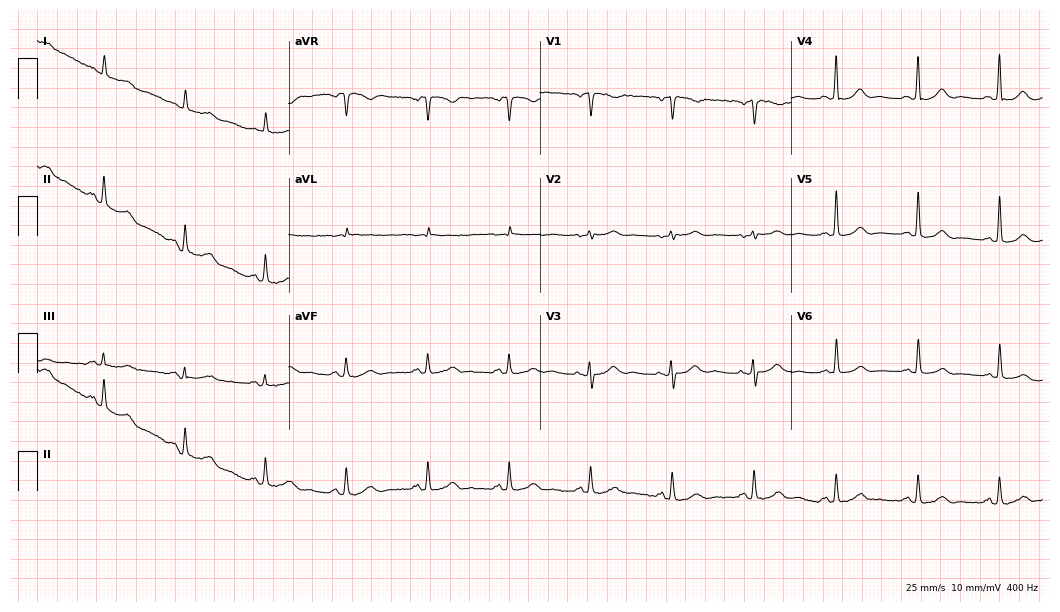
Resting 12-lead electrocardiogram. Patient: a woman, 71 years old. Read as a normal ECG.